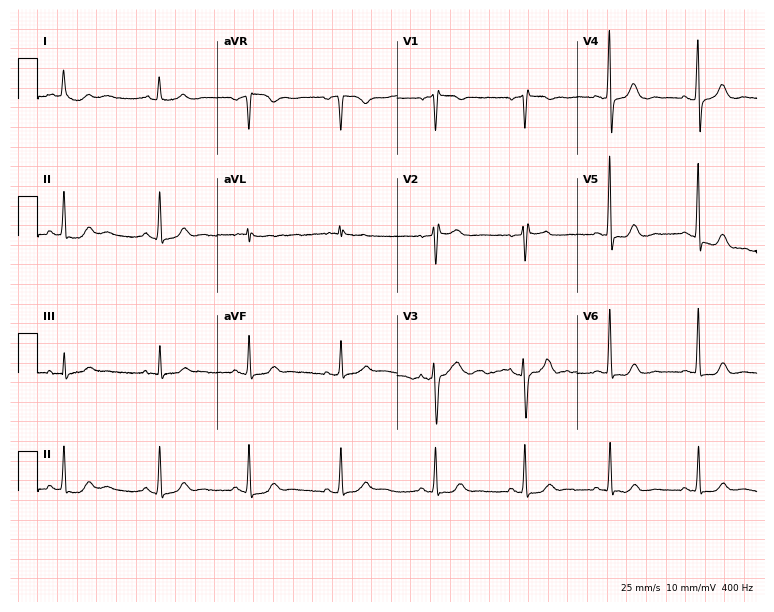
Standard 12-lead ECG recorded from a 50-year-old female (7.3-second recording at 400 Hz). Read as a normal ECG.